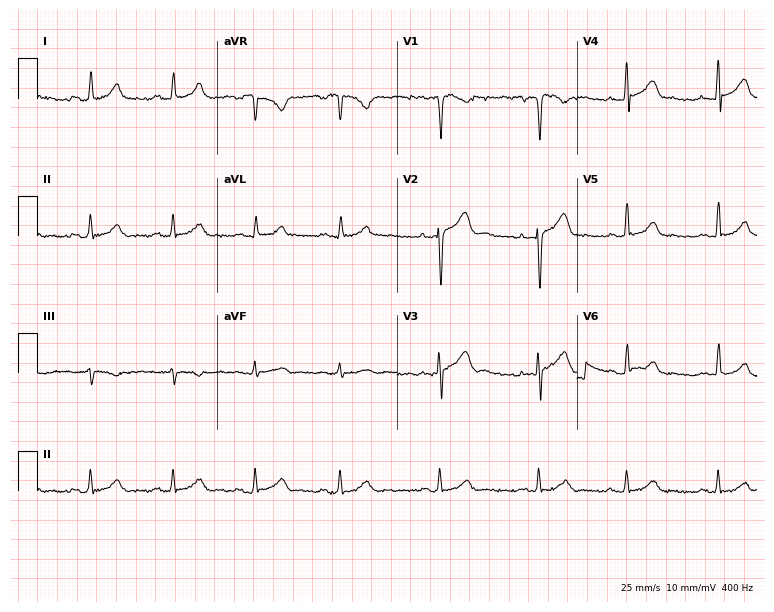
ECG — a man, 38 years old. Screened for six findings — first-degree AV block, right bundle branch block (RBBB), left bundle branch block (LBBB), sinus bradycardia, atrial fibrillation (AF), sinus tachycardia — none is recorded.